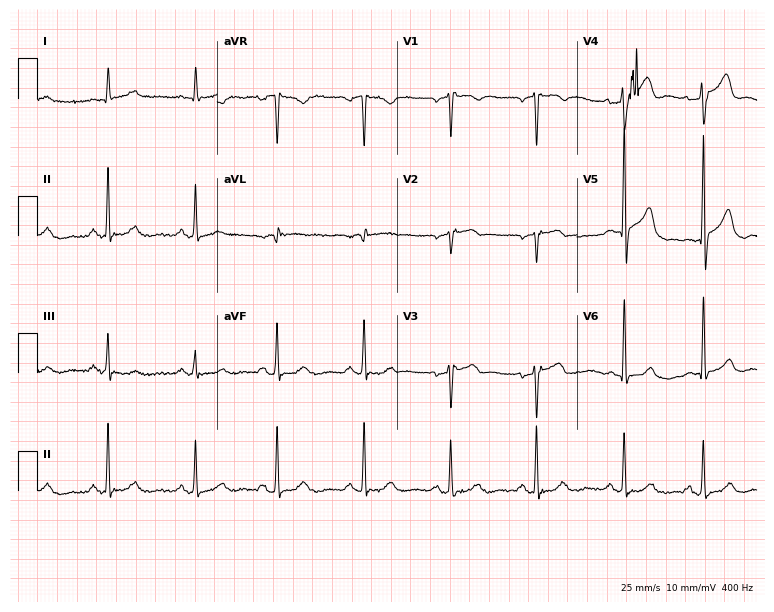
Standard 12-lead ECG recorded from a 67-year-old man. Read as a normal ECG.